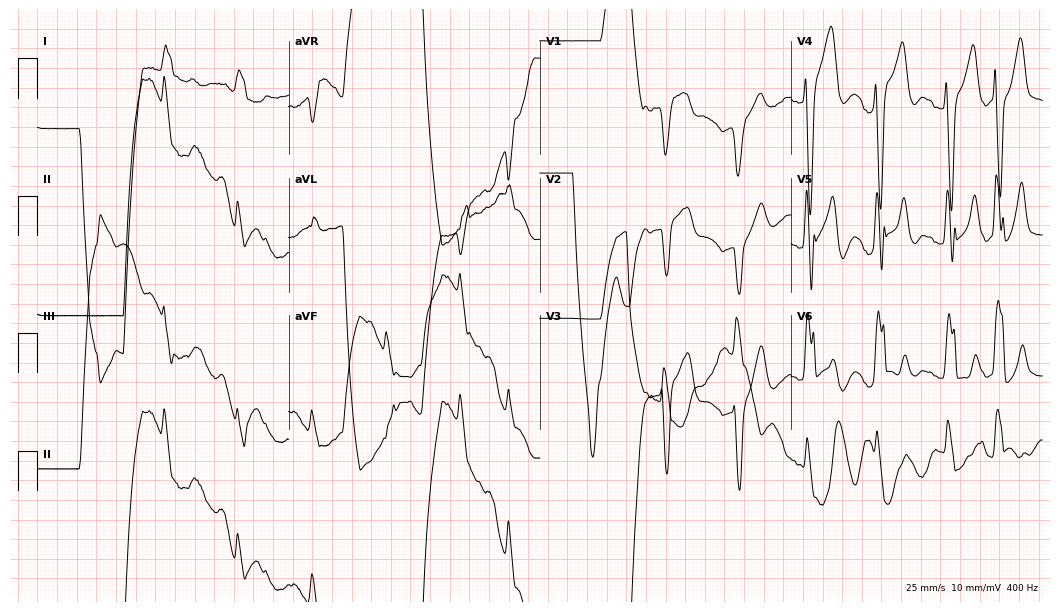
12-lead ECG from a male, 81 years old (10.2-second recording at 400 Hz). No first-degree AV block, right bundle branch block (RBBB), left bundle branch block (LBBB), sinus bradycardia, atrial fibrillation (AF) or sinus tachycardia recorded for this tracing. Other findings, if any, are not listed.